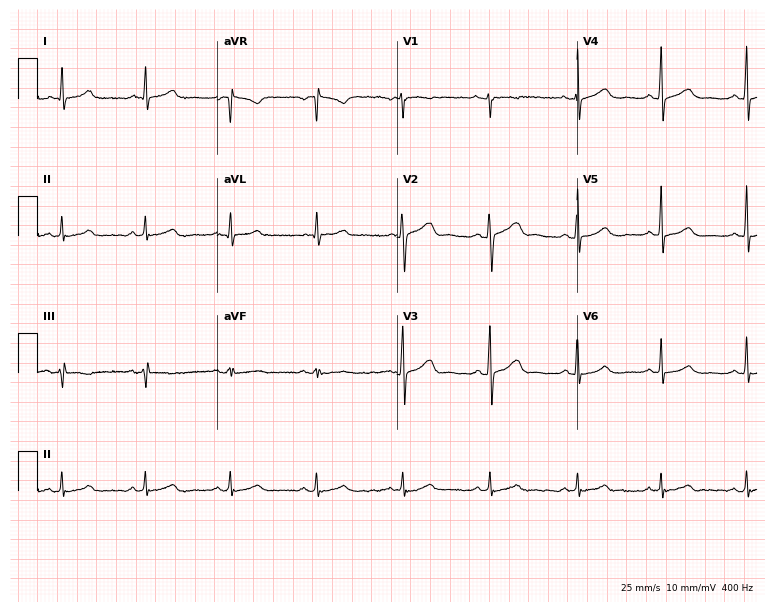
Electrocardiogram, a female patient, 30 years old. Of the six screened findings (first-degree AV block, right bundle branch block, left bundle branch block, sinus bradycardia, atrial fibrillation, sinus tachycardia), none is recorded. Findings outside these six are not listed.